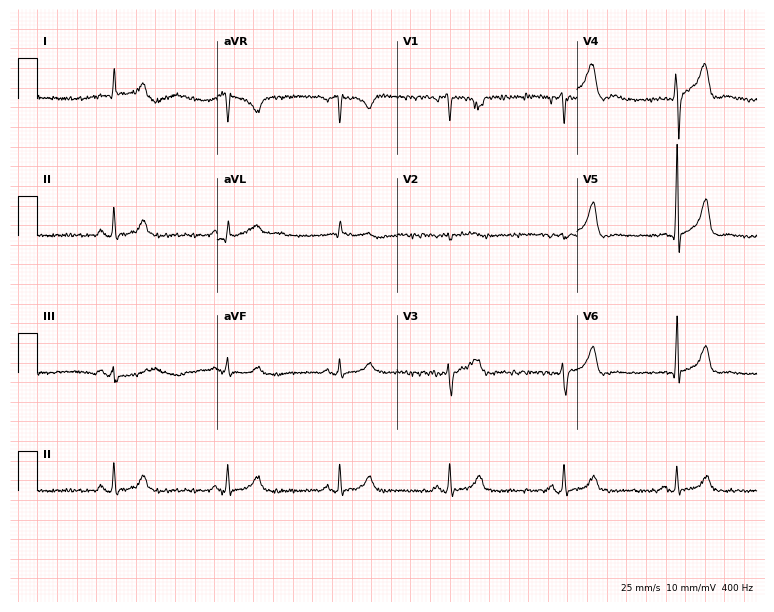
ECG (7.3-second recording at 400 Hz) — a 46-year-old male. Labelled as a normal ECG.